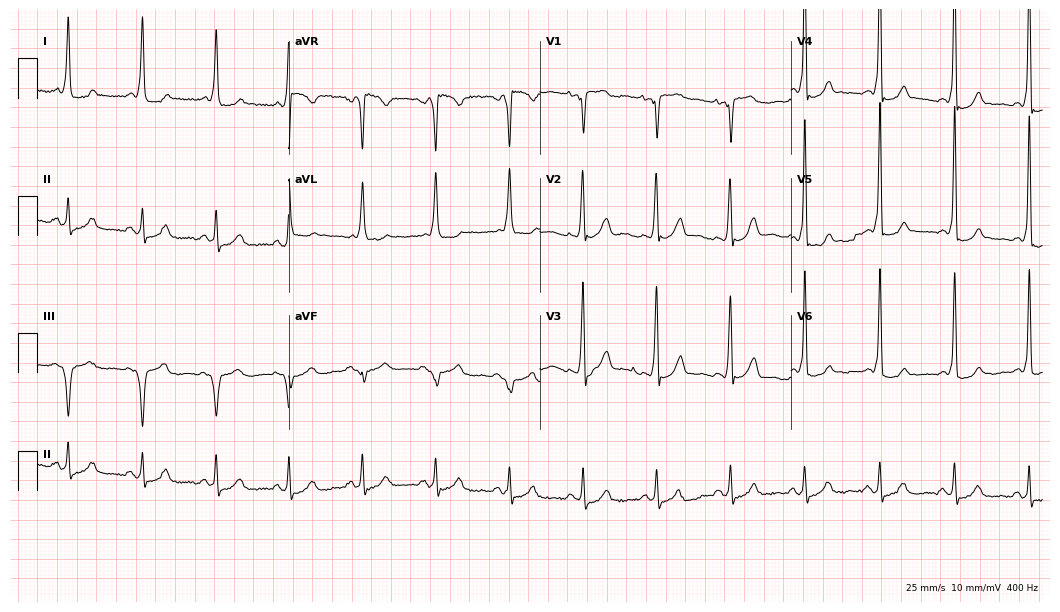
12-lead ECG from a 51-year-old woman. Screened for six findings — first-degree AV block, right bundle branch block, left bundle branch block, sinus bradycardia, atrial fibrillation, sinus tachycardia — none is recorded. Only these six findings were labelled.